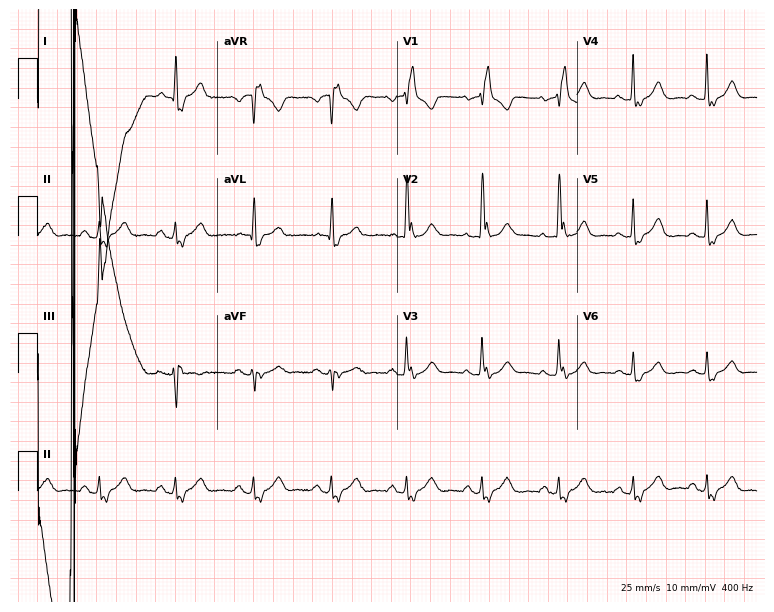
Resting 12-lead electrocardiogram (7.3-second recording at 400 Hz). Patient: a 68-year-old female. The tracing shows right bundle branch block.